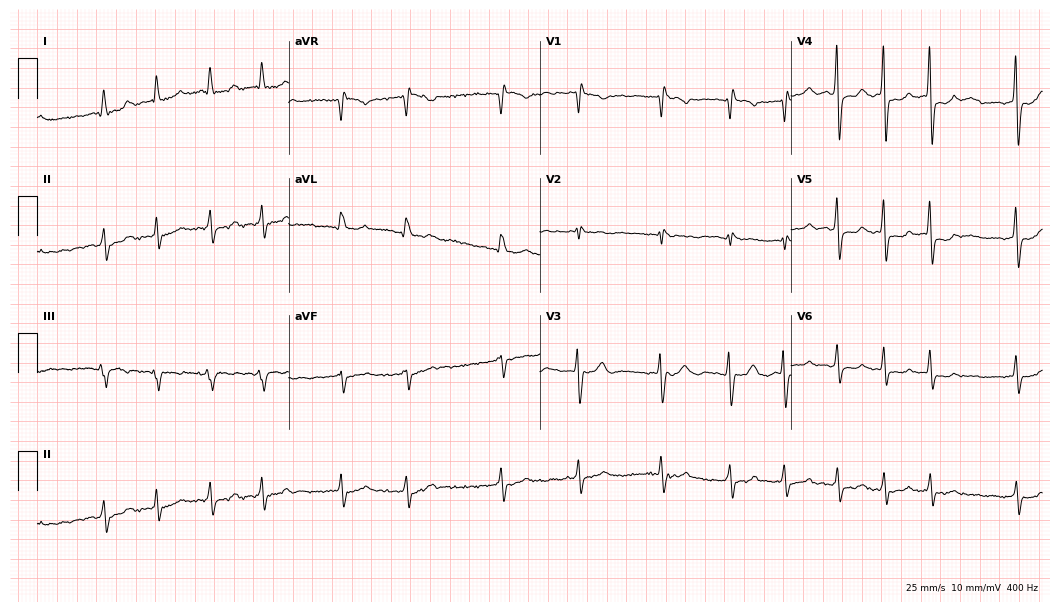
Standard 12-lead ECG recorded from an 80-year-old man (10.2-second recording at 400 Hz). The tracing shows atrial fibrillation.